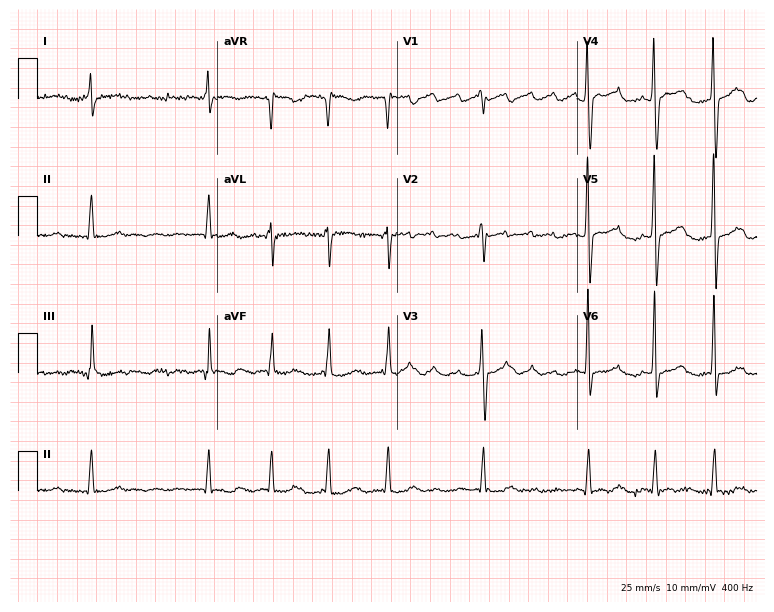
Resting 12-lead electrocardiogram. Patient: a 59-year-old female. None of these six findings is recorded: first-degree AV block, right bundle branch block, left bundle branch block, sinus bradycardia, atrial fibrillation, sinus tachycardia.